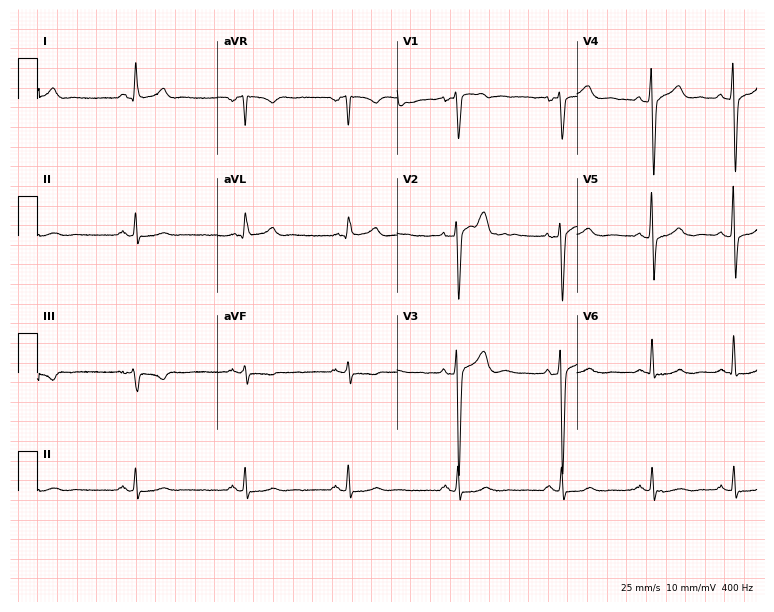
Resting 12-lead electrocardiogram. Patient: a man, 45 years old. None of these six findings is recorded: first-degree AV block, right bundle branch block, left bundle branch block, sinus bradycardia, atrial fibrillation, sinus tachycardia. Other findings, if any, are not listed.